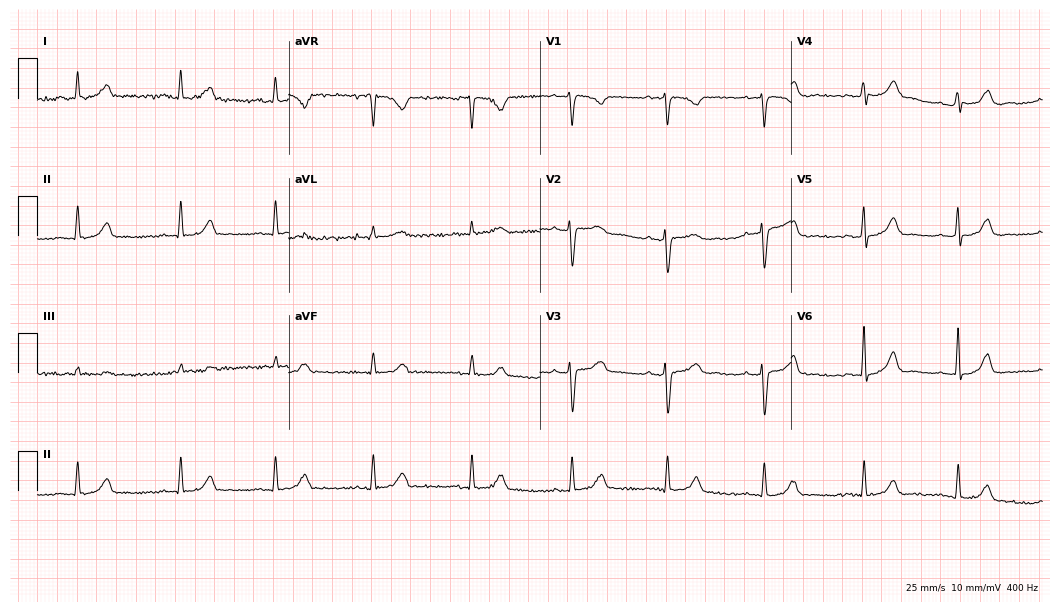
Electrocardiogram, a 34-year-old female patient. Overall reading on record: normal ECG.